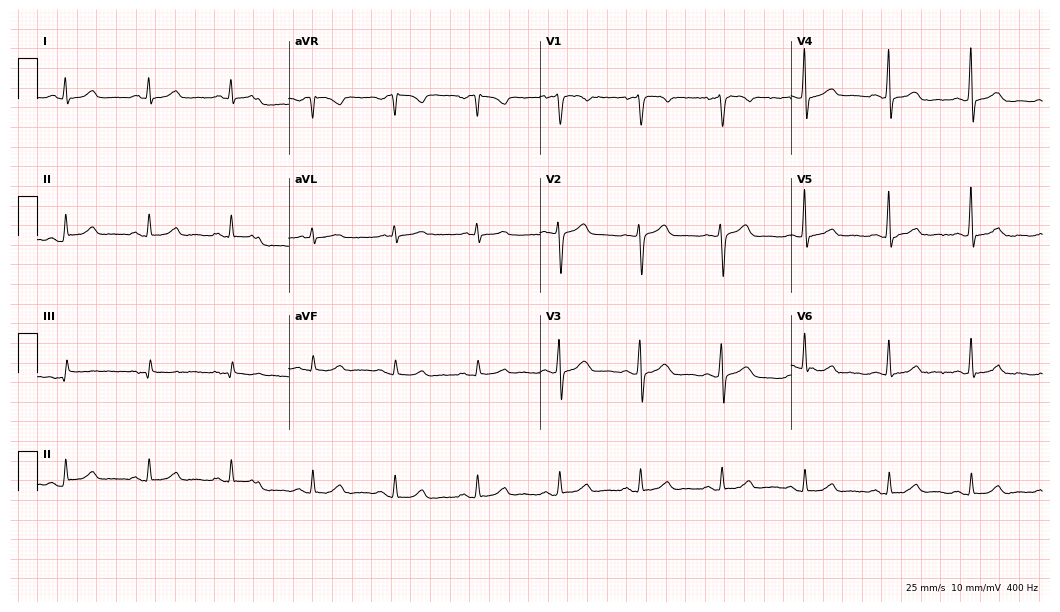
ECG (10.2-second recording at 400 Hz) — a male, 50 years old. Labelled as a normal ECG.